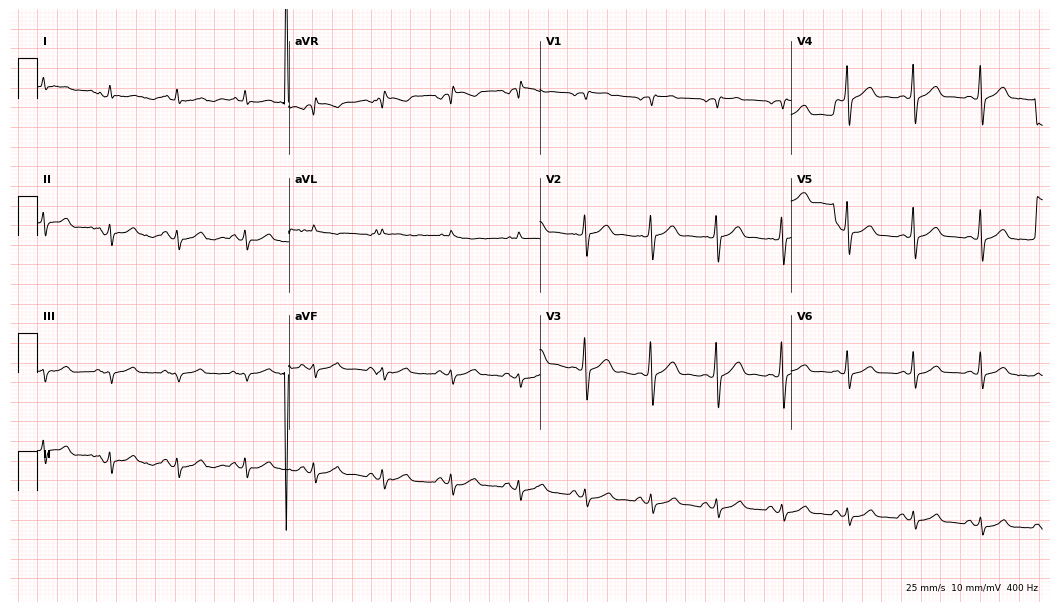
ECG — a 58-year-old male patient. Screened for six findings — first-degree AV block, right bundle branch block, left bundle branch block, sinus bradycardia, atrial fibrillation, sinus tachycardia — none is recorded. Findings outside these six are not listed.